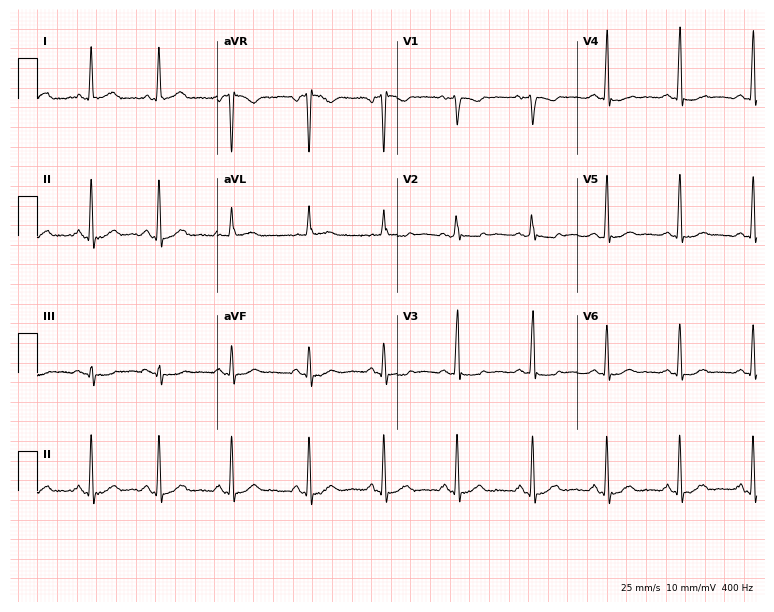
12-lead ECG from a 60-year-old female. Recorded interpretation: within normal limits.